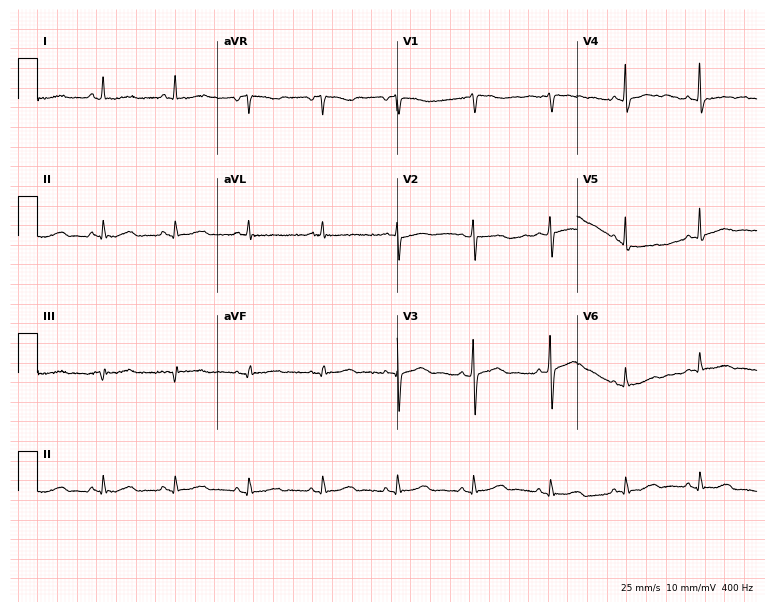
12-lead ECG from a 60-year-old woman. Screened for six findings — first-degree AV block, right bundle branch block, left bundle branch block, sinus bradycardia, atrial fibrillation, sinus tachycardia — none is recorded. Other findings, if any, are not listed.